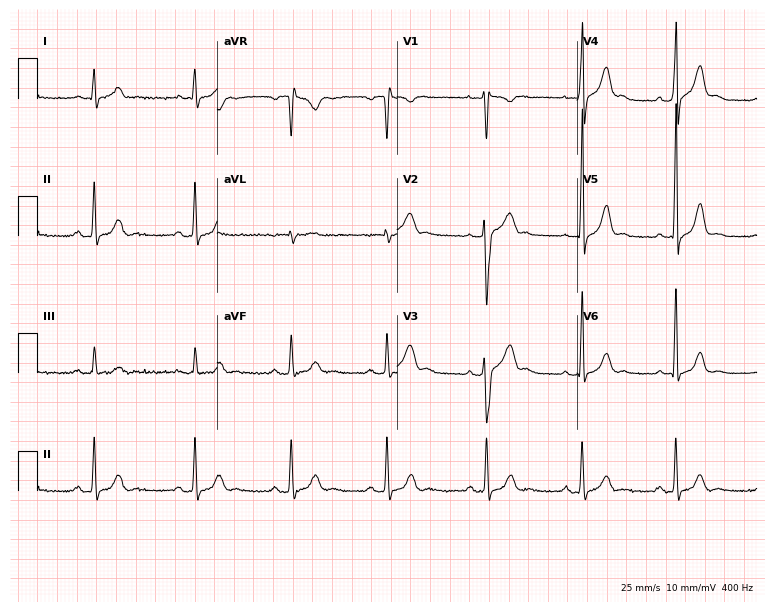
12-lead ECG from a 37-year-old male patient (7.3-second recording at 400 Hz). No first-degree AV block, right bundle branch block, left bundle branch block, sinus bradycardia, atrial fibrillation or sinus tachycardia recorded for this tracing. Other findings, if any, are not listed.